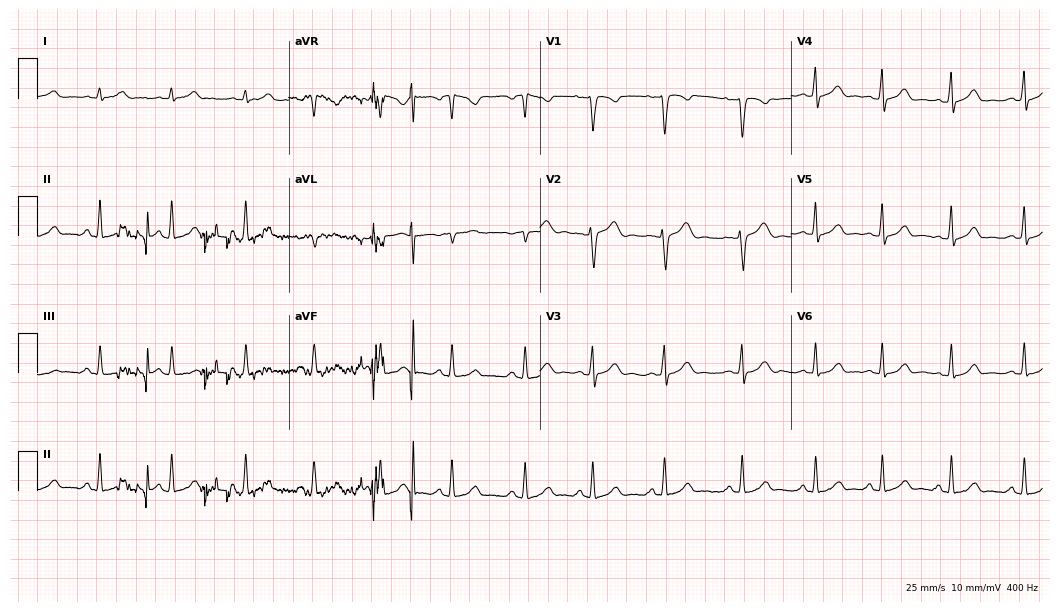
12-lead ECG (10.2-second recording at 400 Hz) from a 29-year-old female. Screened for six findings — first-degree AV block, right bundle branch block (RBBB), left bundle branch block (LBBB), sinus bradycardia, atrial fibrillation (AF), sinus tachycardia — none is recorded.